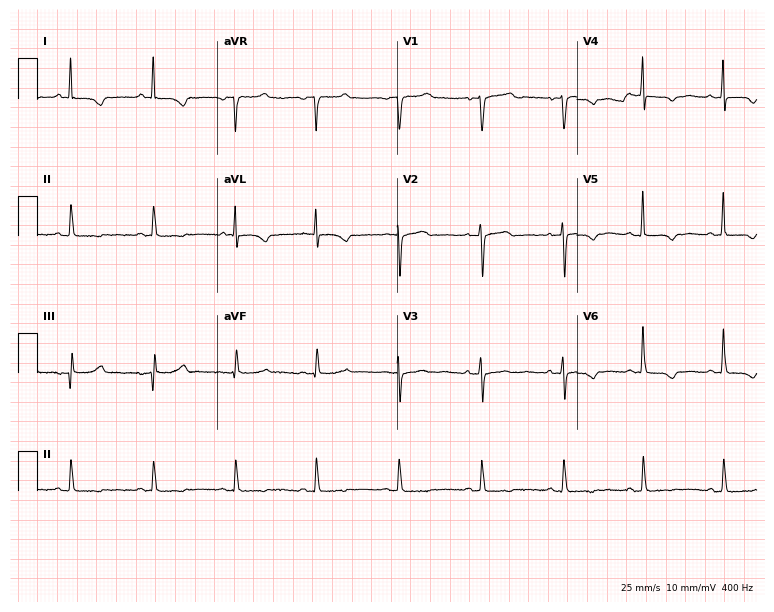
ECG (7.3-second recording at 400 Hz) — a female patient, 70 years old. Screened for six findings — first-degree AV block, right bundle branch block, left bundle branch block, sinus bradycardia, atrial fibrillation, sinus tachycardia — none is recorded. Other findings, if any, are not listed.